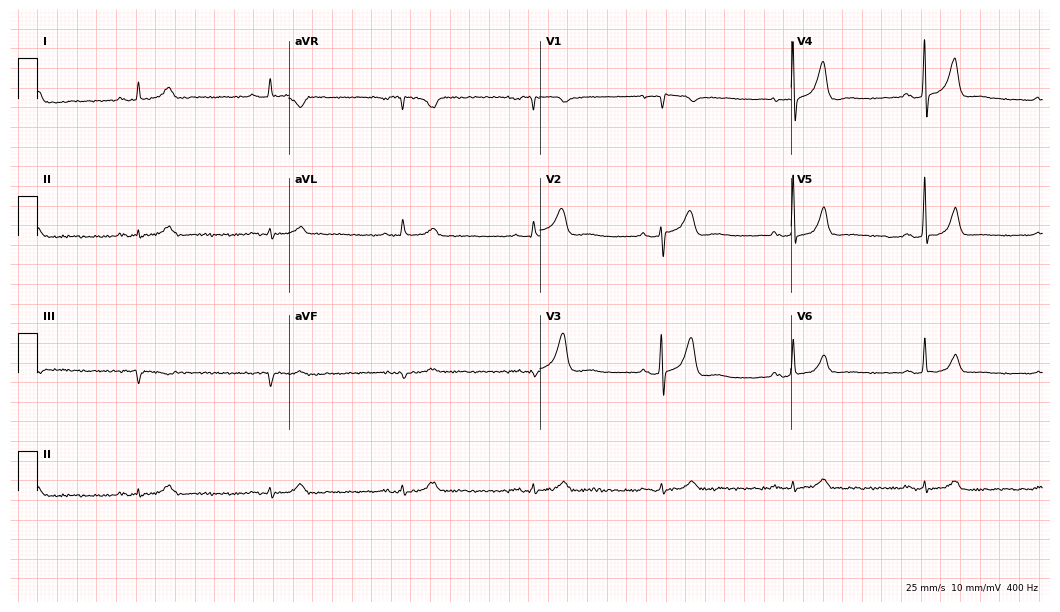
Resting 12-lead electrocardiogram (10.2-second recording at 400 Hz). Patient: a 75-year-old man. The tracing shows sinus bradycardia (a sinus rate of 50 beats per minute or less).